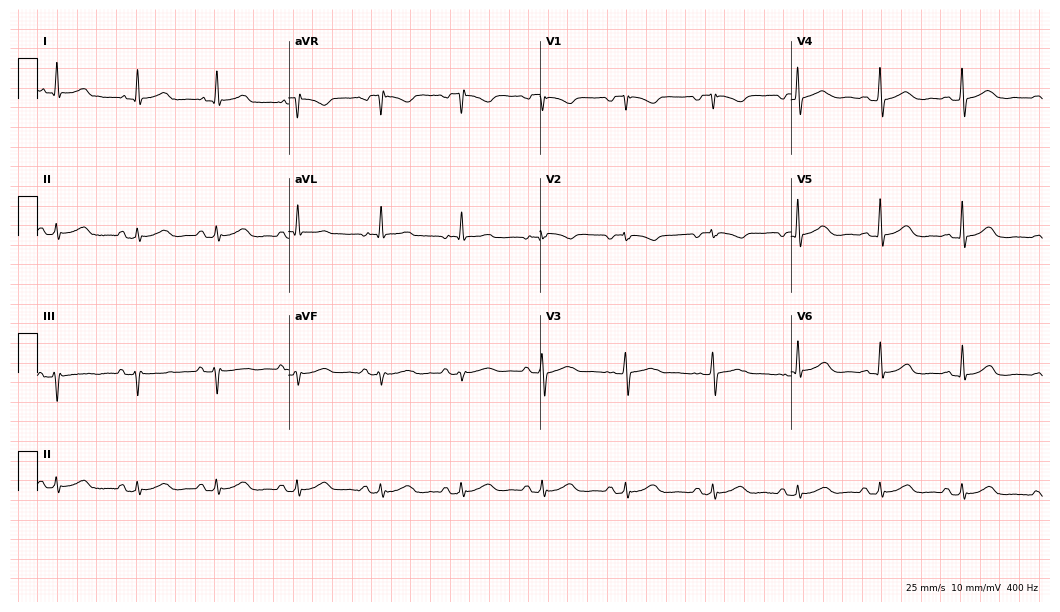
12-lead ECG from a woman, 56 years old. No first-degree AV block, right bundle branch block (RBBB), left bundle branch block (LBBB), sinus bradycardia, atrial fibrillation (AF) or sinus tachycardia recorded for this tracing.